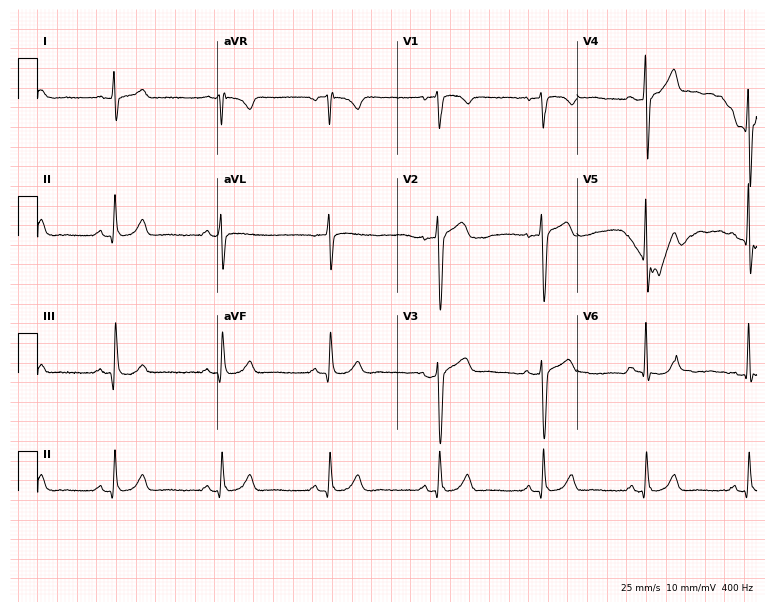
12-lead ECG from a 31-year-old man. Screened for six findings — first-degree AV block, right bundle branch block, left bundle branch block, sinus bradycardia, atrial fibrillation, sinus tachycardia — none is recorded.